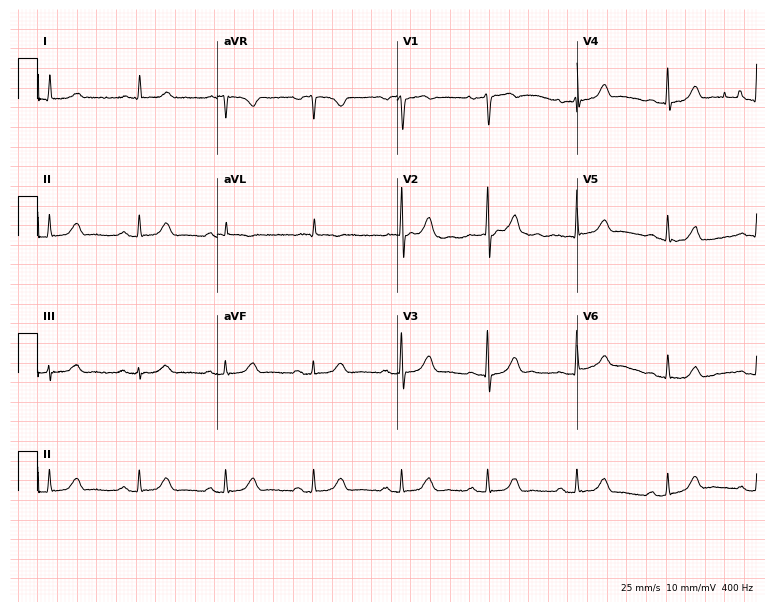
12-lead ECG from a female patient, 64 years old. Labelled as a normal ECG.